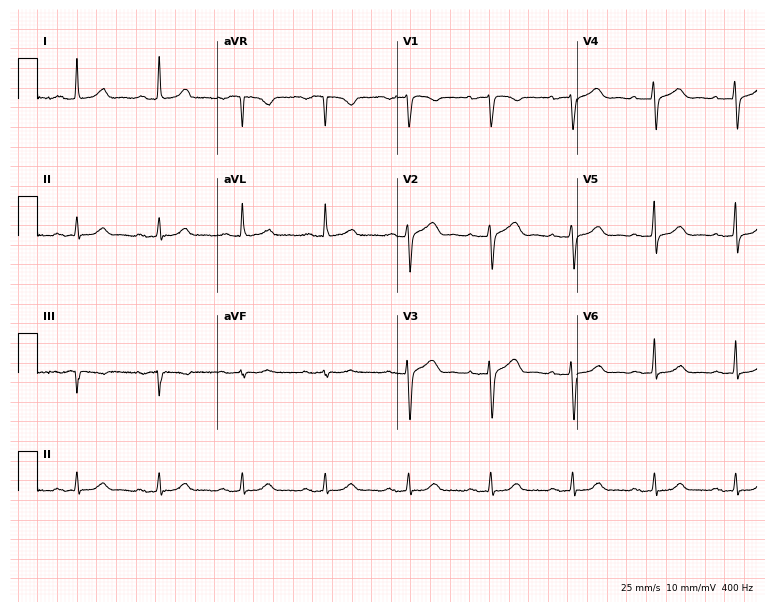
12-lead ECG from a woman, 57 years old (7.3-second recording at 400 Hz). Recorded interpretation: within normal limits.